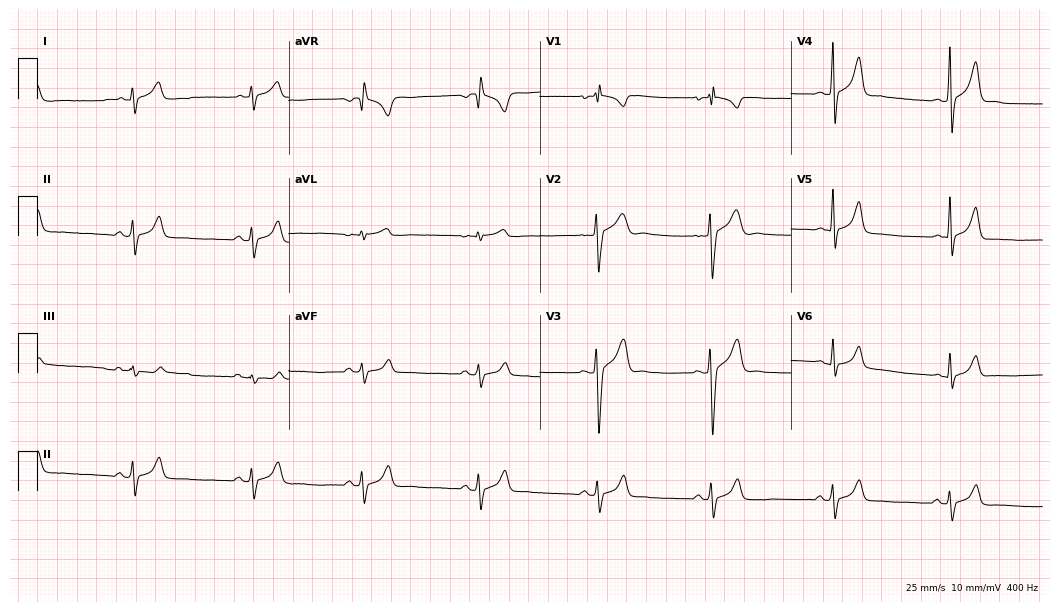
ECG — a male, 23 years old. Labelled as a normal ECG.